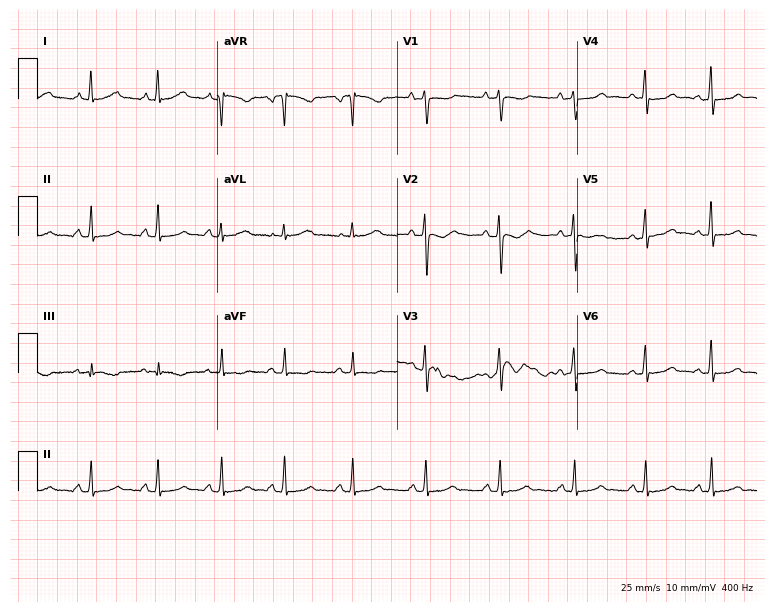
Standard 12-lead ECG recorded from a 29-year-old female (7.3-second recording at 400 Hz). None of these six findings is recorded: first-degree AV block, right bundle branch block, left bundle branch block, sinus bradycardia, atrial fibrillation, sinus tachycardia. Findings outside these six are not listed.